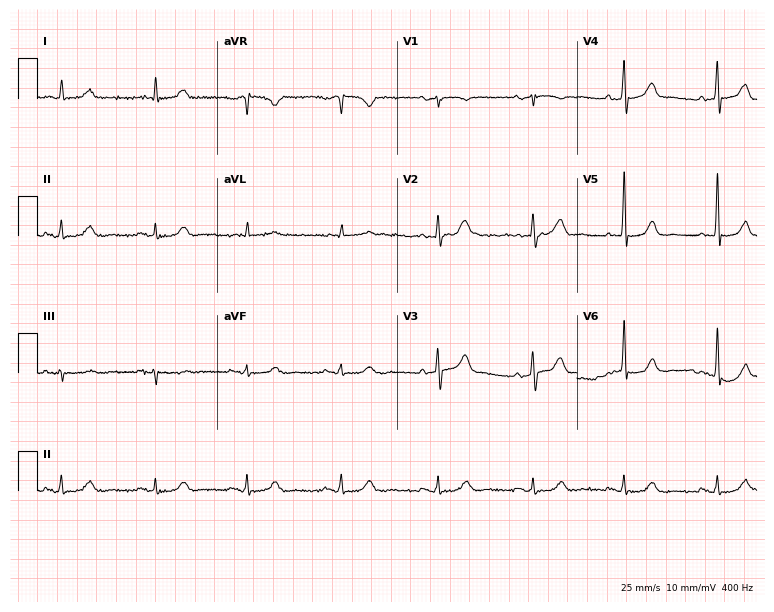
12-lead ECG from a 79-year-old man (7.3-second recording at 400 Hz). No first-degree AV block, right bundle branch block, left bundle branch block, sinus bradycardia, atrial fibrillation or sinus tachycardia recorded for this tracing.